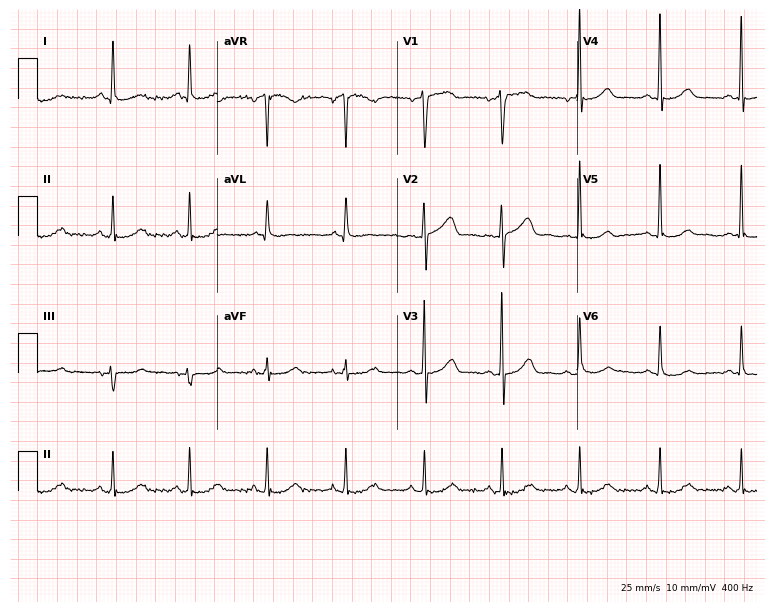
Electrocardiogram, a 72-year-old female. Overall reading on record: normal ECG.